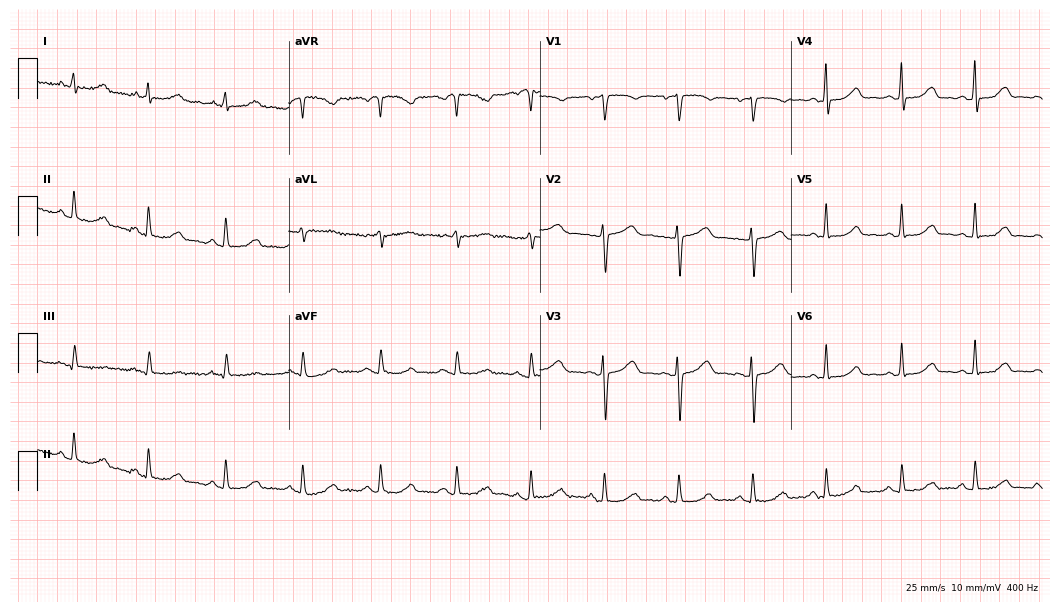
Resting 12-lead electrocardiogram (10.2-second recording at 400 Hz). Patient: a 50-year-old female. Read as a normal ECG.